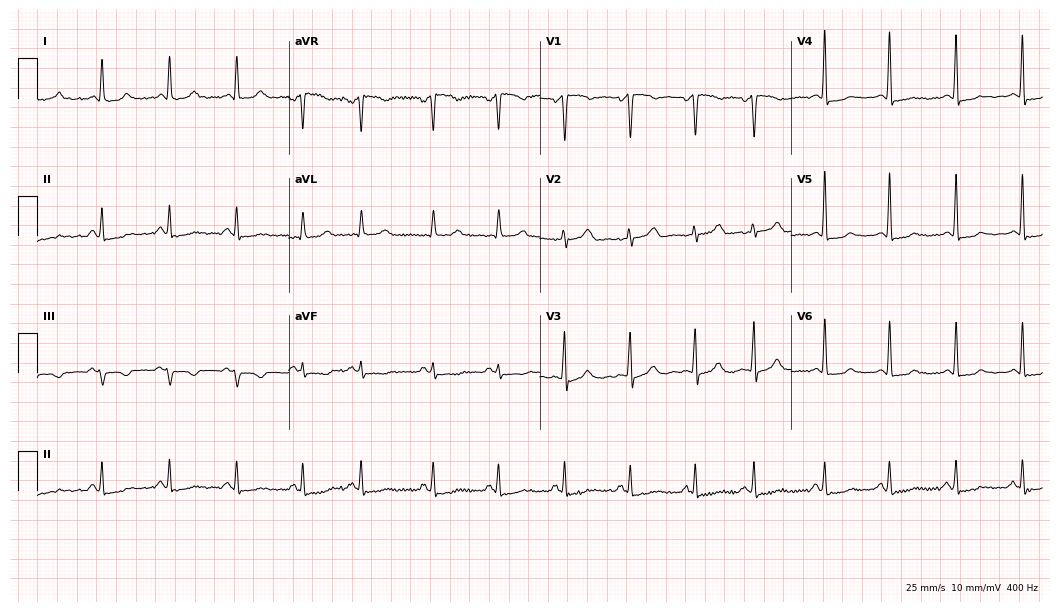
Standard 12-lead ECG recorded from a female patient, 44 years old. None of these six findings is recorded: first-degree AV block, right bundle branch block, left bundle branch block, sinus bradycardia, atrial fibrillation, sinus tachycardia.